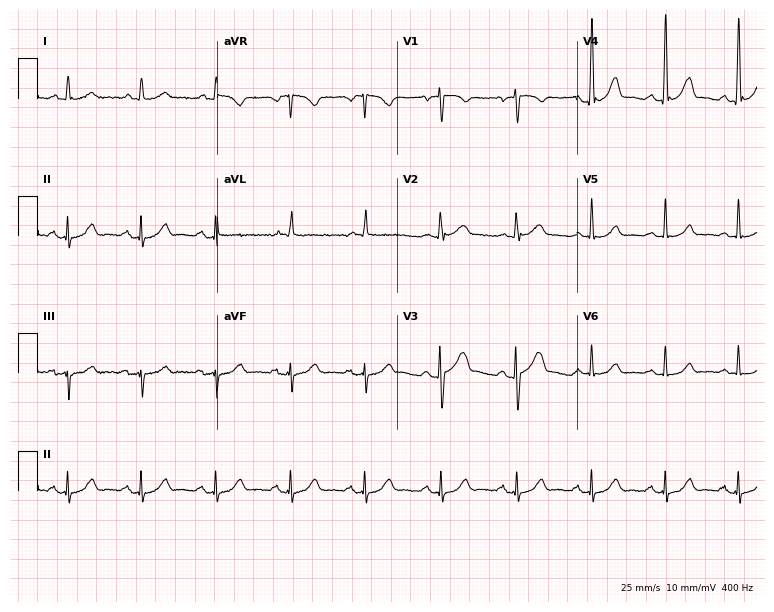
12-lead ECG (7.3-second recording at 400 Hz) from a 71-year-old male. Labelled as a normal ECG.